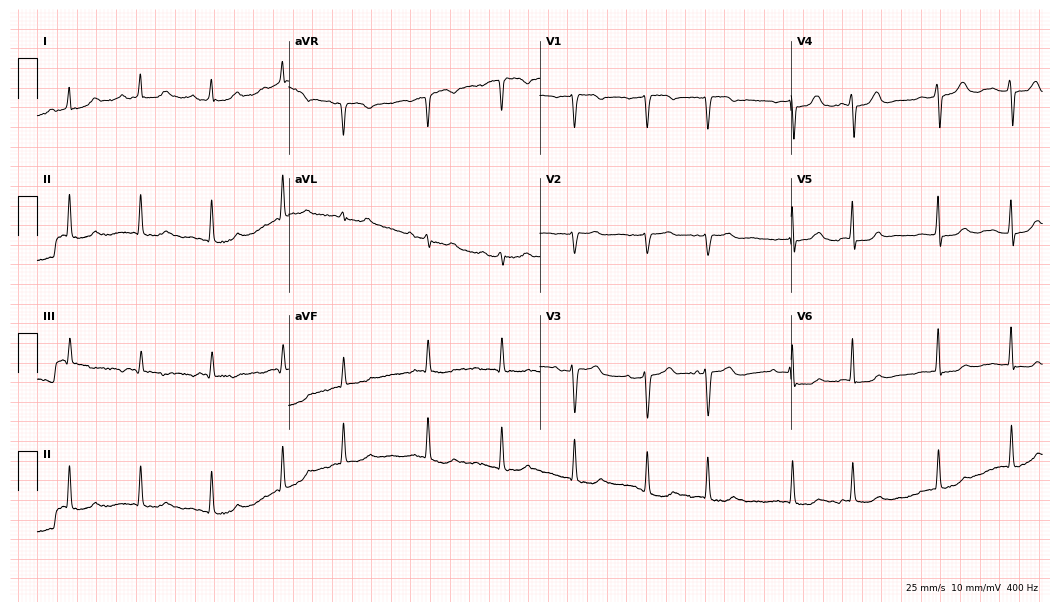
Resting 12-lead electrocardiogram. Patient: an 83-year-old female. None of these six findings is recorded: first-degree AV block, right bundle branch block (RBBB), left bundle branch block (LBBB), sinus bradycardia, atrial fibrillation (AF), sinus tachycardia. Other findings, if any, are not listed.